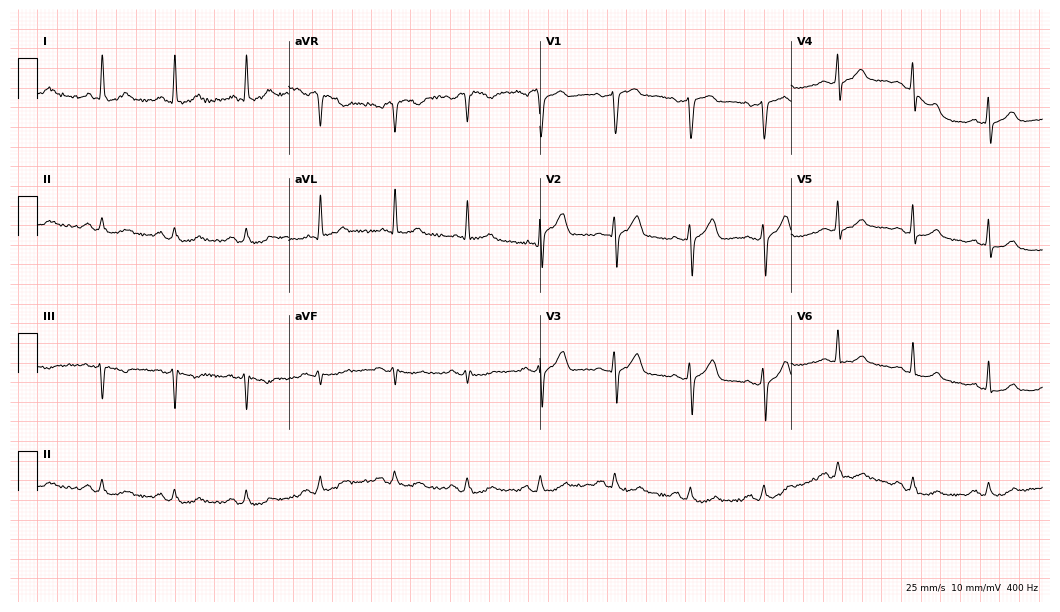
ECG (10.2-second recording at 400 Hz) — a 67-year-old woman. Labelled as a normal ECG.